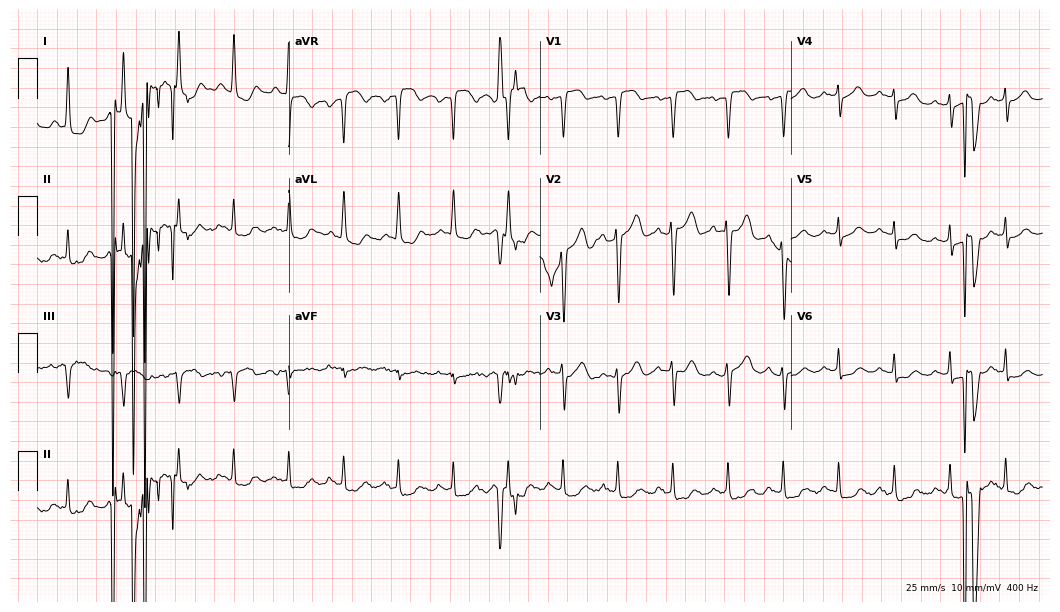
12-lead ECG (10.2-second recording at 400 Hz) from a female patient, 75 years old. Screened for six findings — first-degree AV block, right bundle branch block, left bundle branch block, sinus bradycardia, atrial fibrillation, sinus tachycardia — none is recorded. Findings outside these six are not listed.